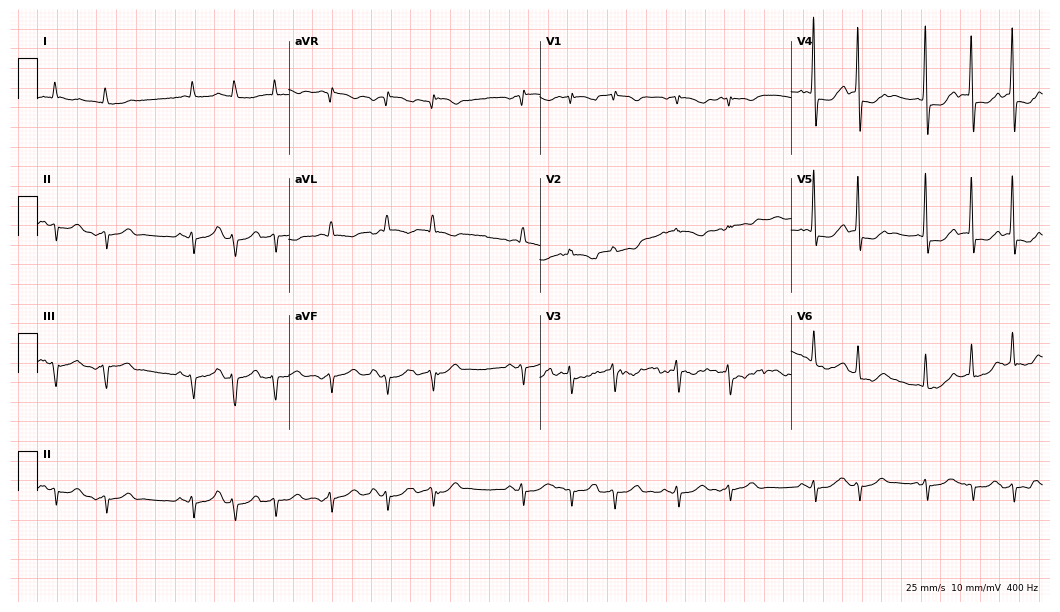
Electrocardiogram, an 84-year-old woman. Of the six screened findings (first-degree AV block, right bundle branch block, left bundle branch block, sinus bradycardia, atrial fibrillation, sinus tachycardia), none is recorded. Other findings, if any, are not listed.